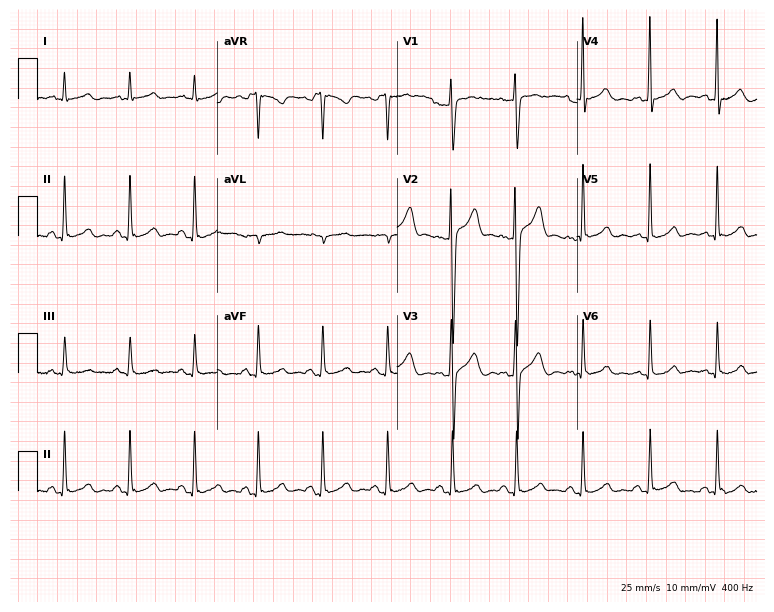
Standard 12-lead ECG recorded from a 35-year-old male patient (7.3-second recording at 400 Hz). Read as a normal ECG.